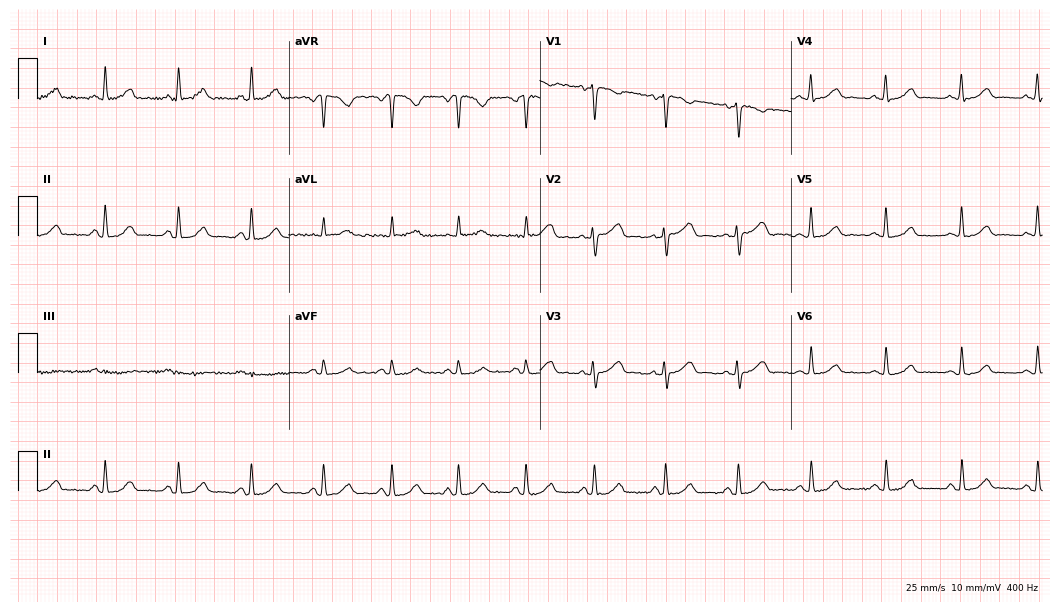
12-lead ECG from a 40-year-old woman. Recorded interpretation: within normal limits.